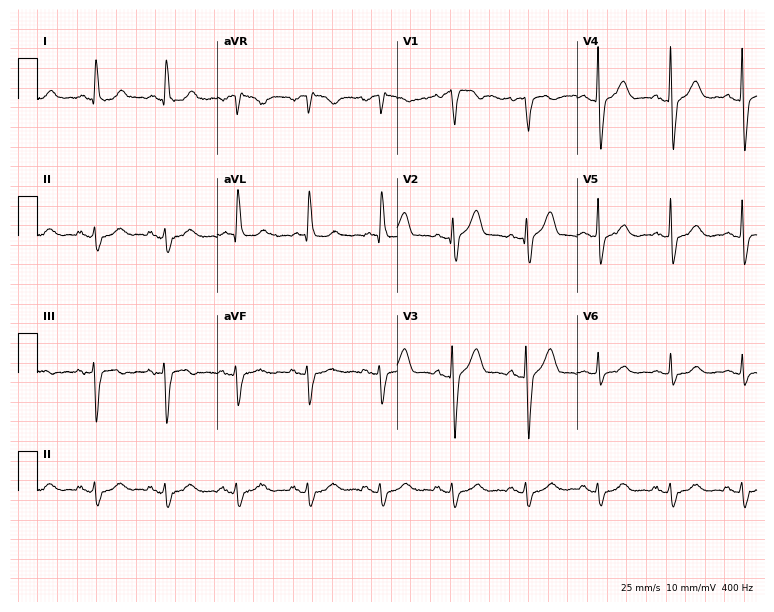
ECG (7.3-second recording at 400 Hz) — a male, 84 years old. Screened for six findings — first-degree AV block, right bundle branch block (RBBB), left bundle branch block (LBBB), sinus bradycardia, atrial fibrillation (AF), sinus tachycardia — none is recorded.